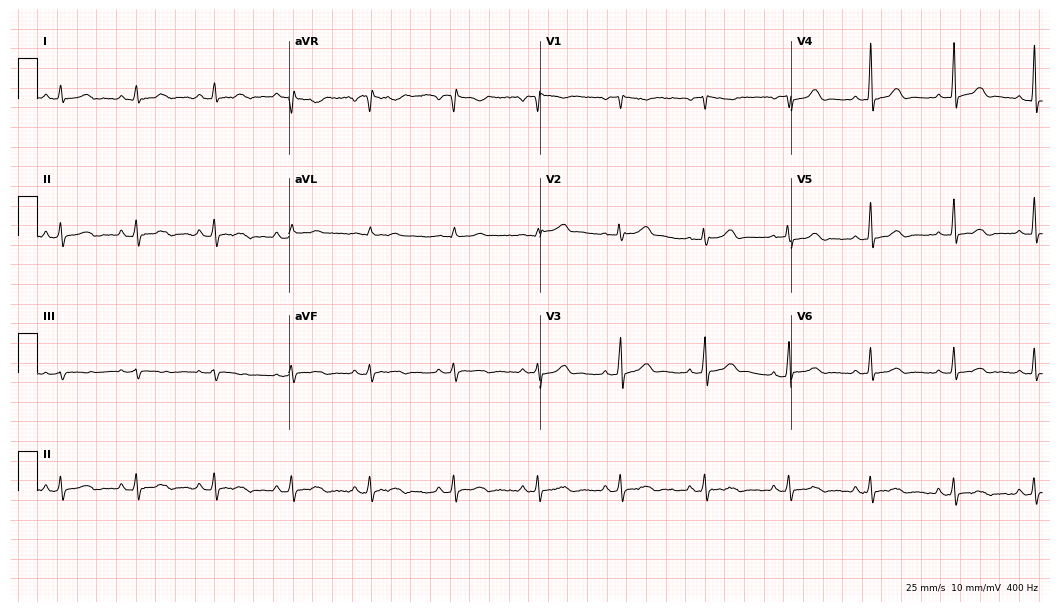
Resting 12-lead electrocardiogram. Patient: a 35-year-old woman. Read as a normal ECG.